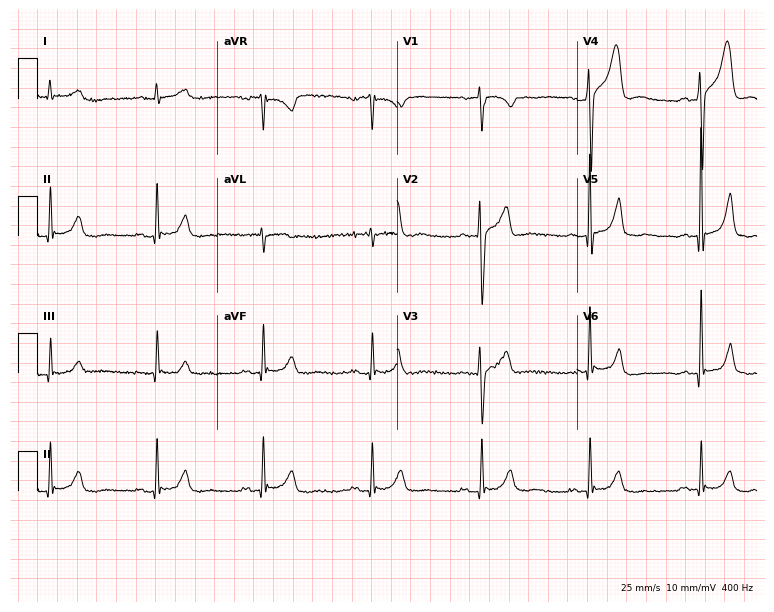
ECG — a male patient, 75 years old. Screened for six findings — first-degree AV block, right bundle branch block (RBBB), left bundle branch block (LBBB), sinus bradycardia, atrial fibrillation (AF), sinus tachycardia — none is recorded. Other findings, if any, are not listed.